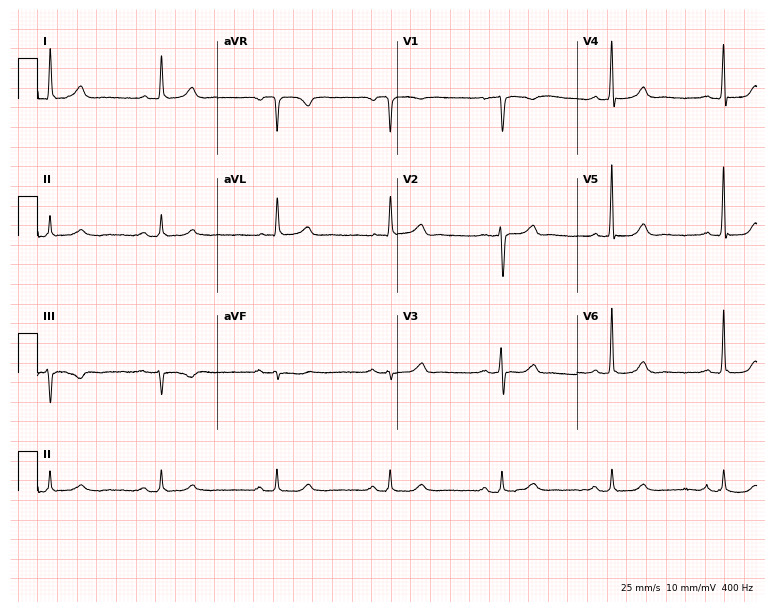
Resting 12-lead electrocardiogram. Patient: an 81-year-old male. None of these six findings is recorded: first-degree AV block, right bundle branch block, left bundle branch block, sinus bradycardia, atrial fibrillation, sinus tachycardia.